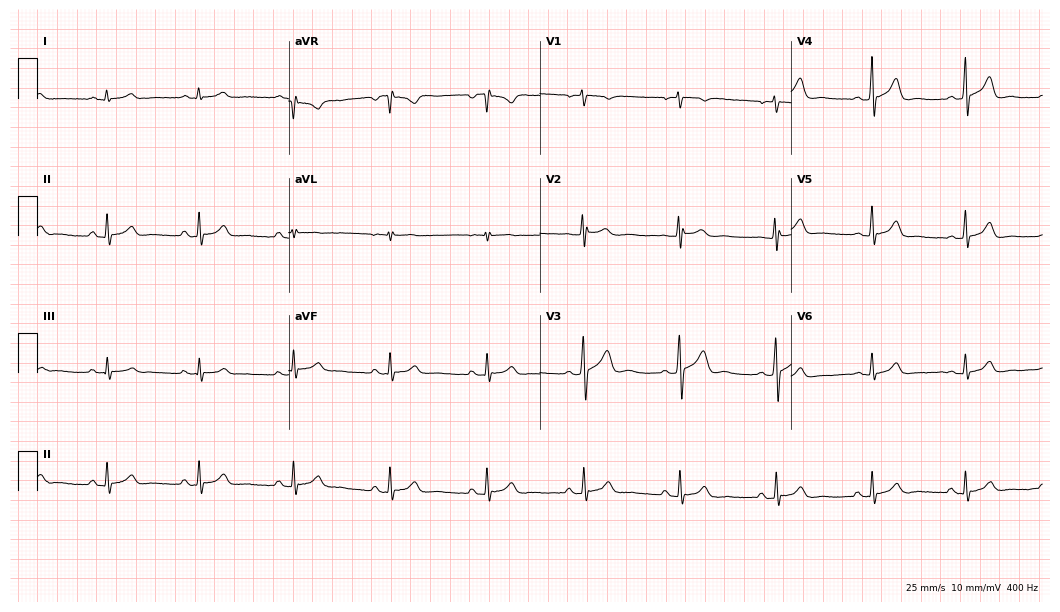
Electrocardiogram, a man, 30 years old. Overall reading on record: normal ECG.